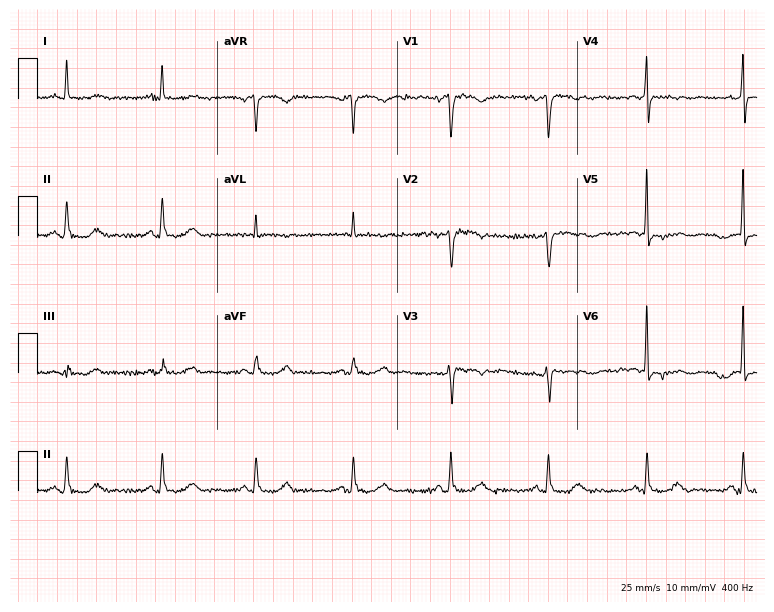
ECG (7.3-second recording at 400 Hz) — a 76-year-old female patient. Screened for six findings — first-degree AV block, right bundle branch block, left bundle branch block, sinus bradycardia, atrial fibrillation, sinus tachycardia — none is recorded.